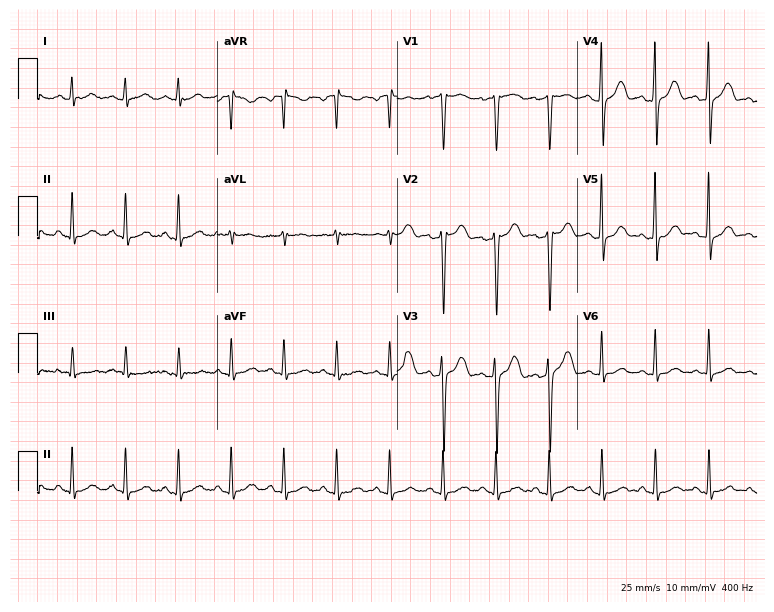
Resting 12-lead electrocardiogram. Patient: a woman, 34 years old. The tracing shows sinus tachycardia (a sinus rate of 100 beats per minute or more).